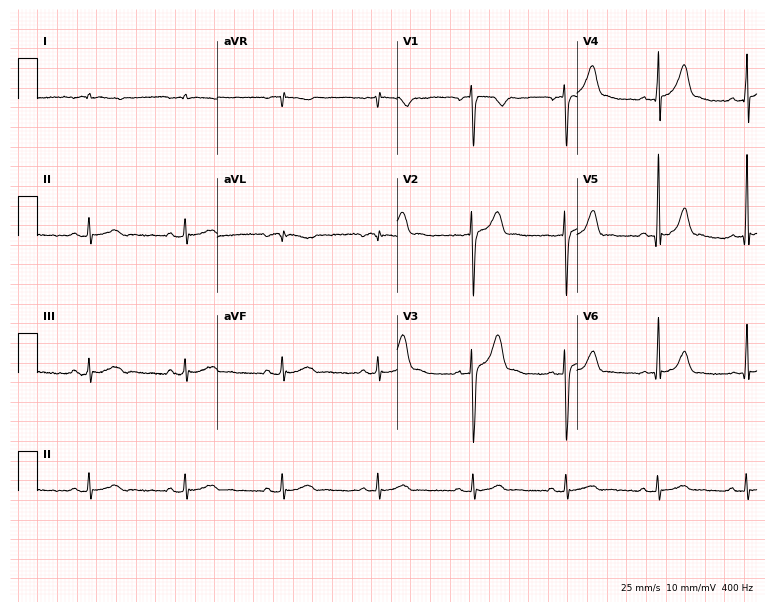
Standard 12-lead ECG recorded from a male patient, 36 years old. Read as a normal ECG.